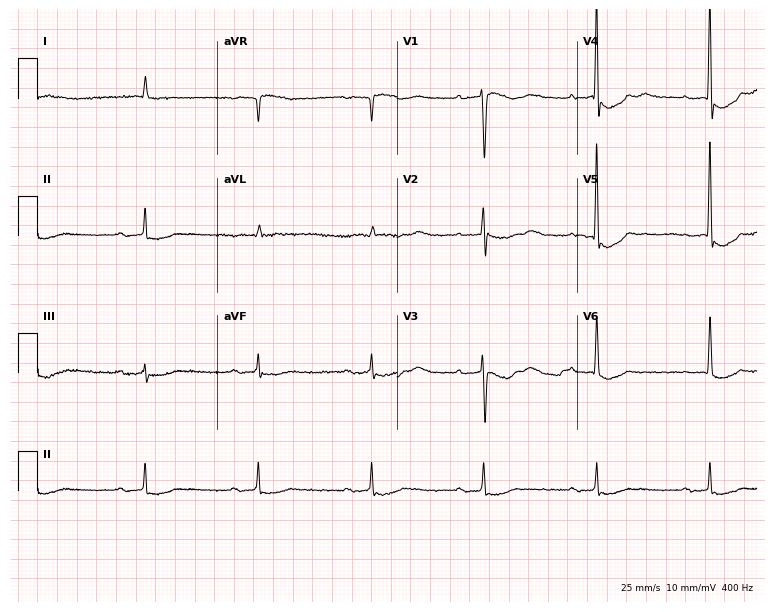
Electrocardiogram, an 83-year-old woman. Interpretation includes first-degree AV block.